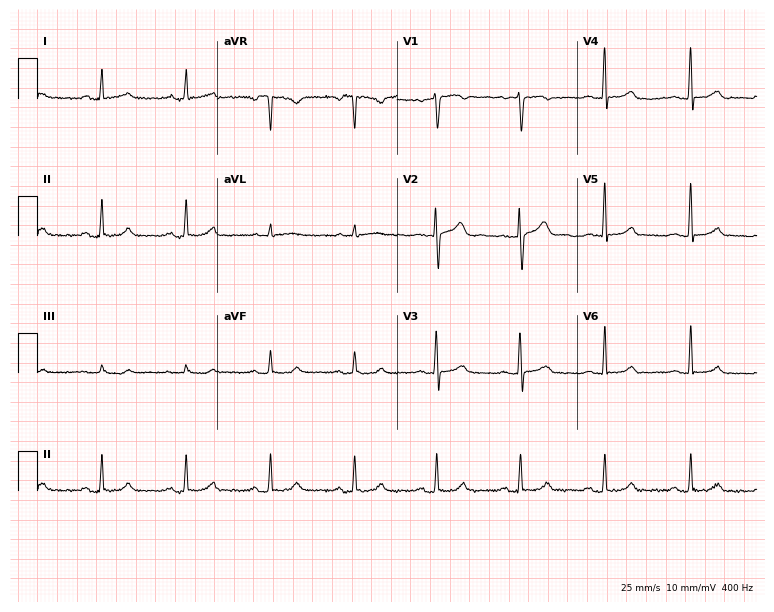
Electrocardiogram (7.3-second recording at 400 Hz), a female, 43 years old. Overall reading on record: normal ECG.